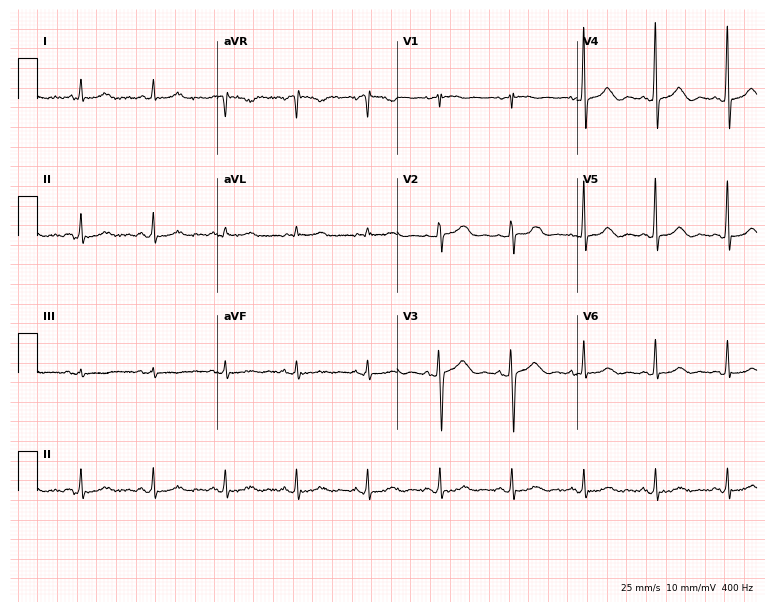
Resting 12-lead electrocardiogram. Patient: a female, 70 years old. None of these six findings is recorded: first-degree AV block, right bundle branch block, left bundle branch block, sinus bradycardia, atrial fibrillation, sinus tachycardia. Other findings, if any, are not listed.